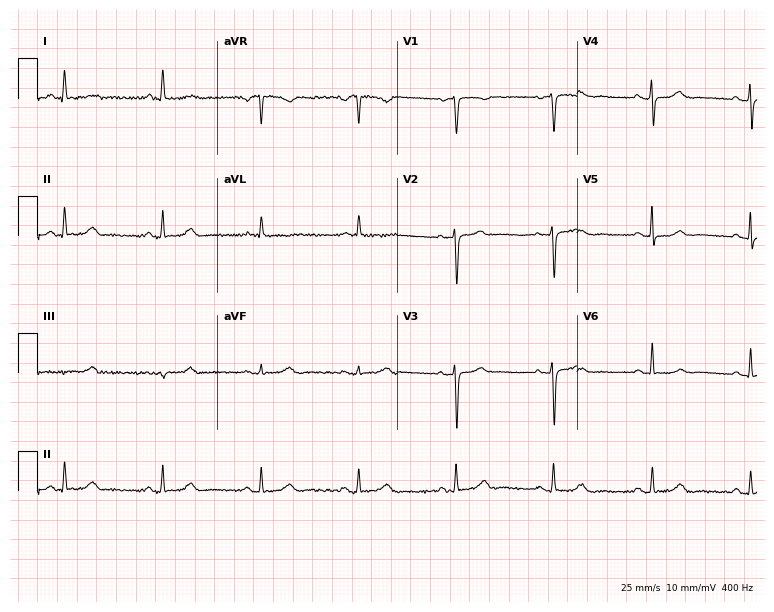
12-lead ECG from a female patient, 61 years old. Recorded interpretation: within normal limits.